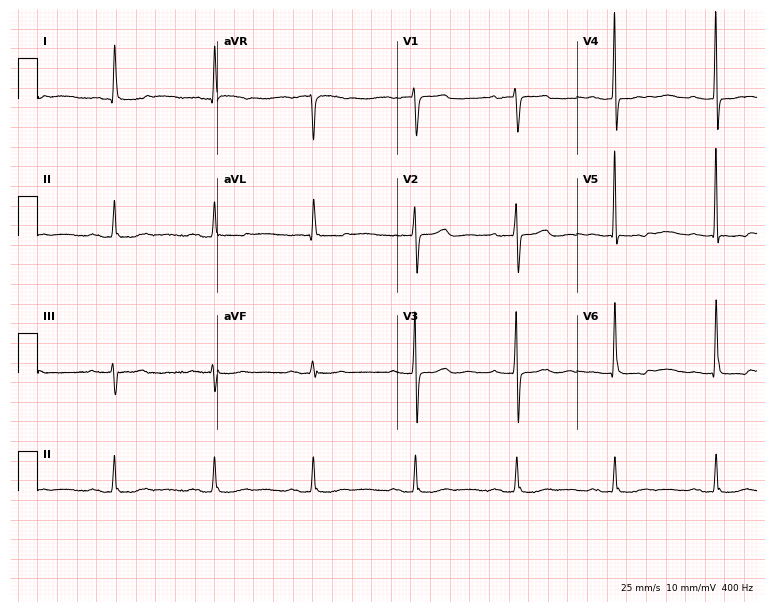
12-lead ECG from a woman, 76 years old. Shows first-degree AV block.